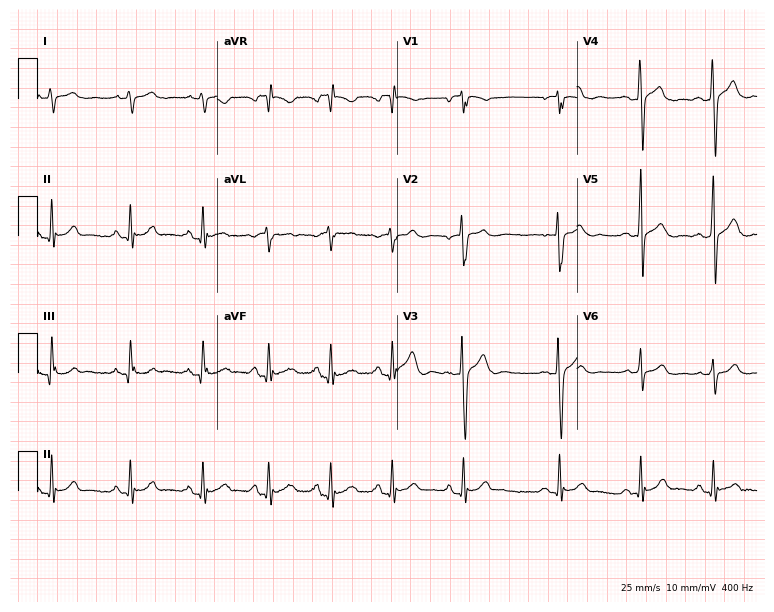
ECG — a man, 20 years old. Screened for six findings — first-degree AV block, right bundle branch block (RBBB), left bundle branch block (LBBB), sinus bradycardia, atrial fibrillation (AF), sinus tachycardia — none is recorded.